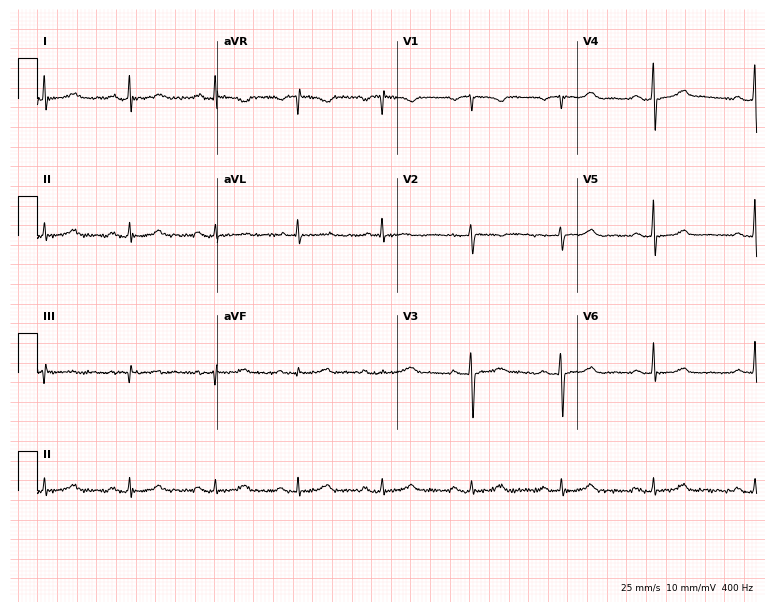
Standard 12-lead ECG recorded from a man, 48 years old. None of these six findings is recorded: first-degree AV block, right bundle branch block, left bundle branch block, sinus bradycardia, atrial fibrillation, sinus tachycardia.